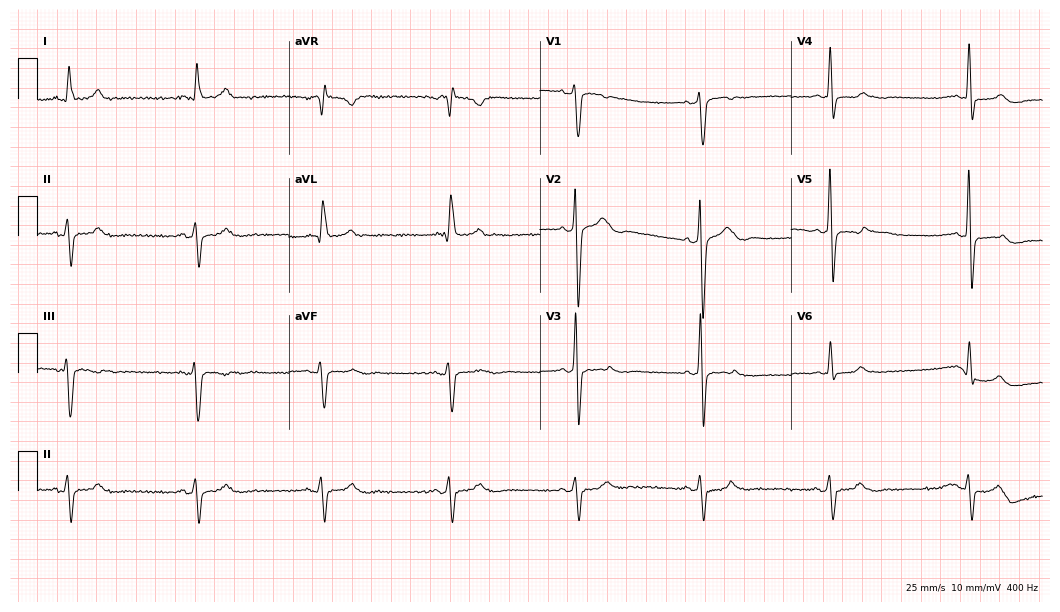
12-lead ECG from a male, 64 years old. Findings include left bundle branch block, sinus bradycardia (a sinus rate of 50 beats per minute or less).